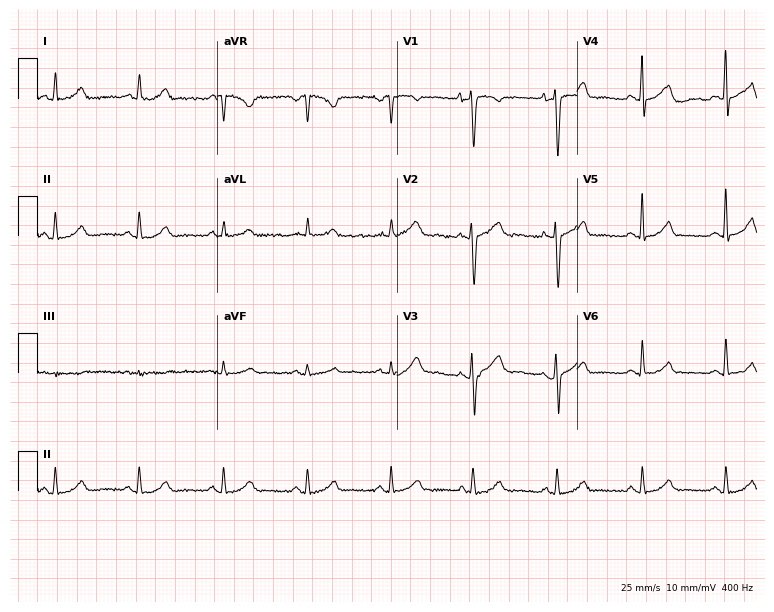
12-lead ECG from a 27-year-old woman. Labelled as a normal ECG.